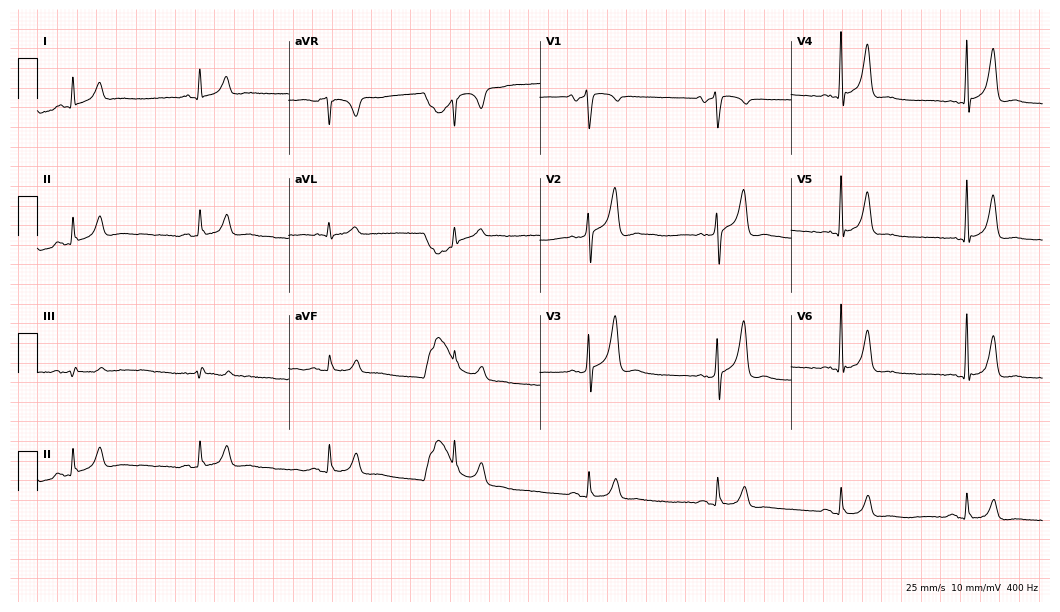
Resting 12-lead electrocardiogram (10.2-second recording at 400 Hz). Patient: a male, 71 years old. The tracing shows sinus bradycardia (a sinus rate of 50 beats per minute or less).